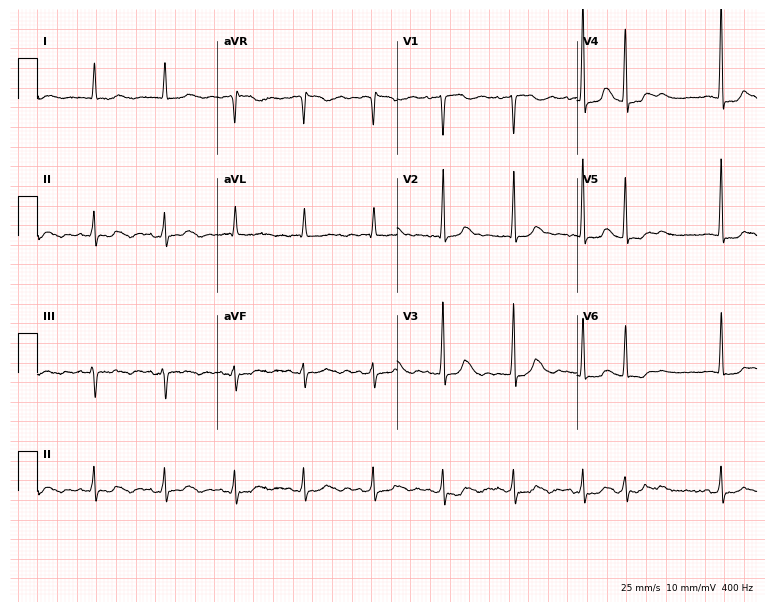
12-lead ECG from a 78-year-old woman. Screened for six findings — first-degree AV block, right bundle branch block (RBBB), left bundle branch block (LBBB), sinus bradycardia, atrial fibrillation (AF), sinus tachycardia — none is recorded. Findings outside these six are not listed.